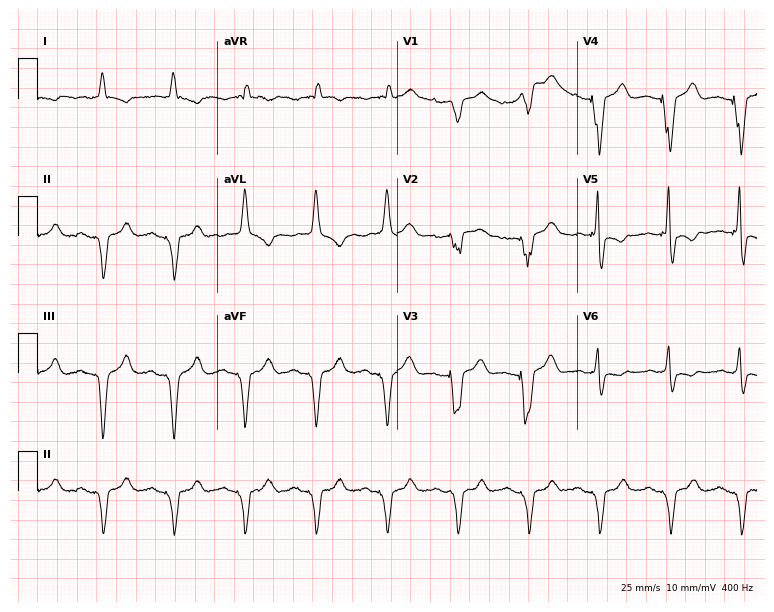
Electrocardiogram, an 85-year-old female. Of the six screened findings (first-degree AV block, right bundle branch block (RBBB), left bundle branch block (LBBB), sinus bradycardia, atrial fibrillation (AF), sinus tachycardia), none is recorded.